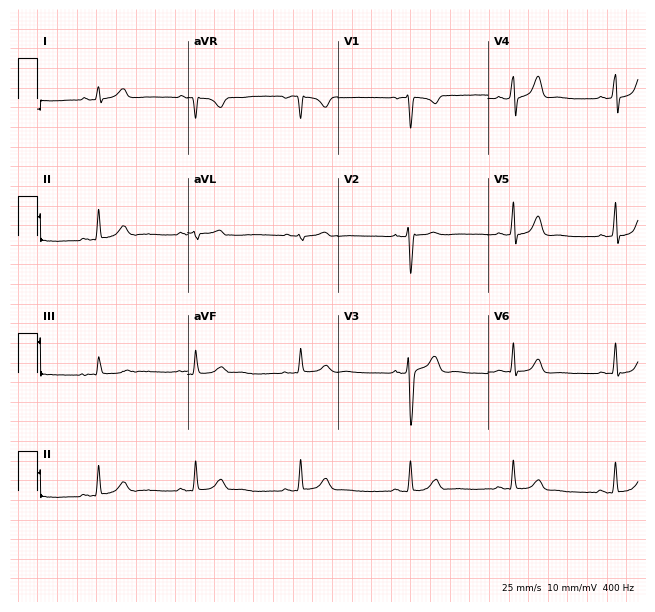
Electrocardiogram, a 19-year-old female. Overall reading on record: normal ECG.